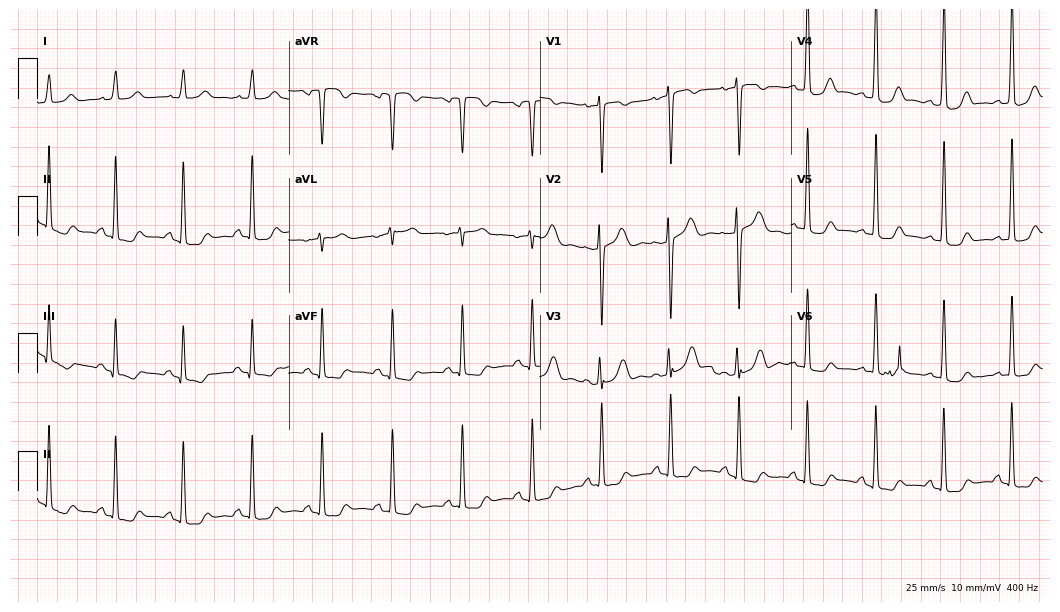
12-lead ECG from a female patient, 57 years old. No first-degree AV block, right bundle branch block (RBBB), left bundle branch block (LBBB), sinus bradycardia, atrial fibrillation (AF) or sinus tachycardia recorded for this tracing. Findings outside these six are not listed.